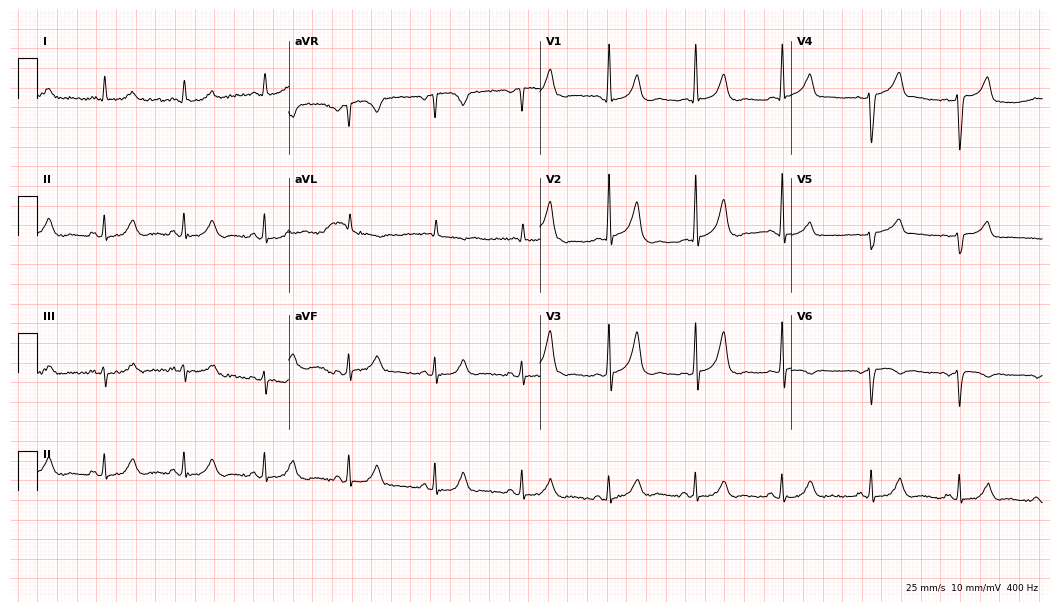
12-lead ECG from a 44-year-old female patient (10.2-second recording at 400 Hz). Recorded interpretation: within normal limits.